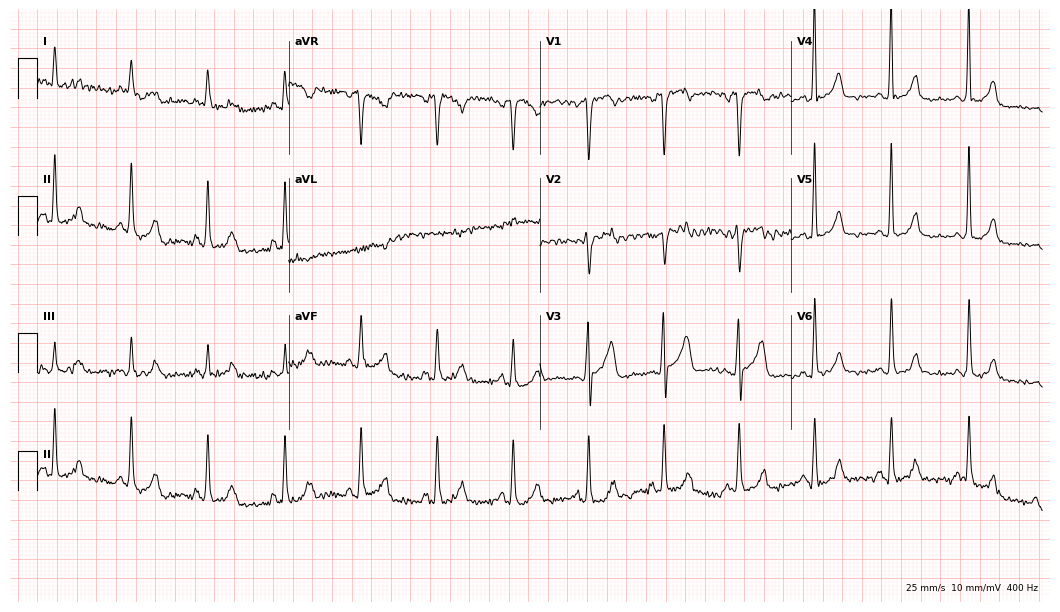
ECG (10.2-second recording at 400 Hz) — a man, 59 years old. Labelled as a normal ECG.